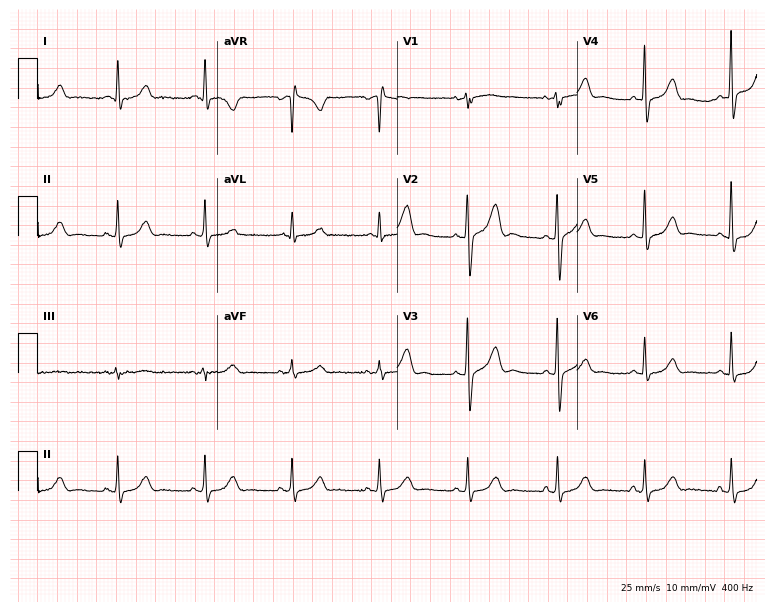
12-lead ECG (7.3-second recording at 400 Hz) from a 77-year-old female. Screened for six findings — first-degree AV block, right bundle branch block, left bundle branch block, sinus bradycardia, atrial fibrillation, sinus tachycardia — none is recorded. Findings outside these six are not listed.